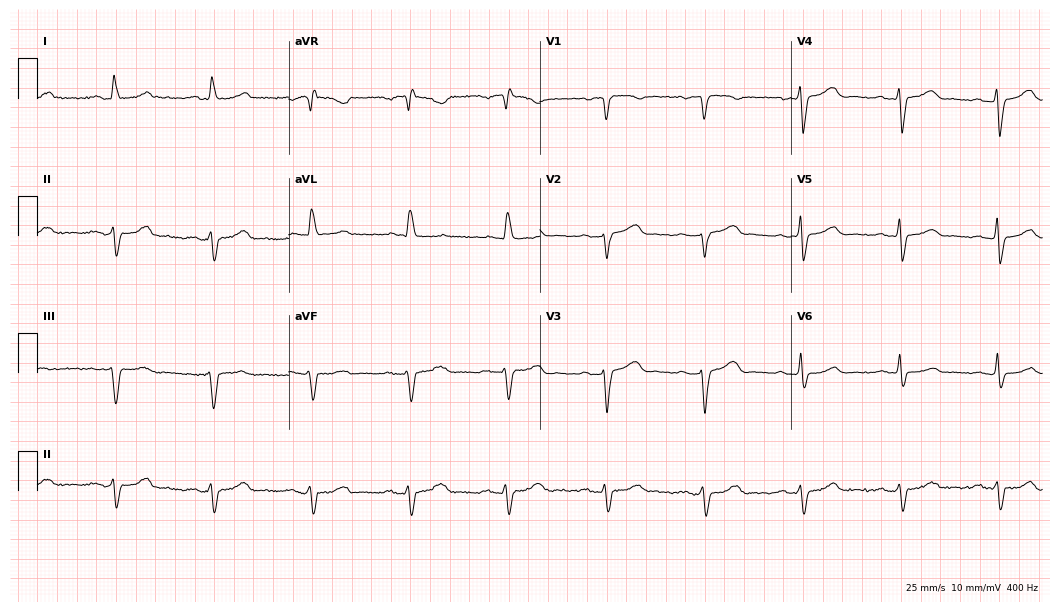
12-lead ECG from an 81-year-old female. No first-degree AV block, right bundle branch block, left bundle branch block, sinus bradycardia, atrial fibrillation or sinus tachycardia recorded for this tracing.